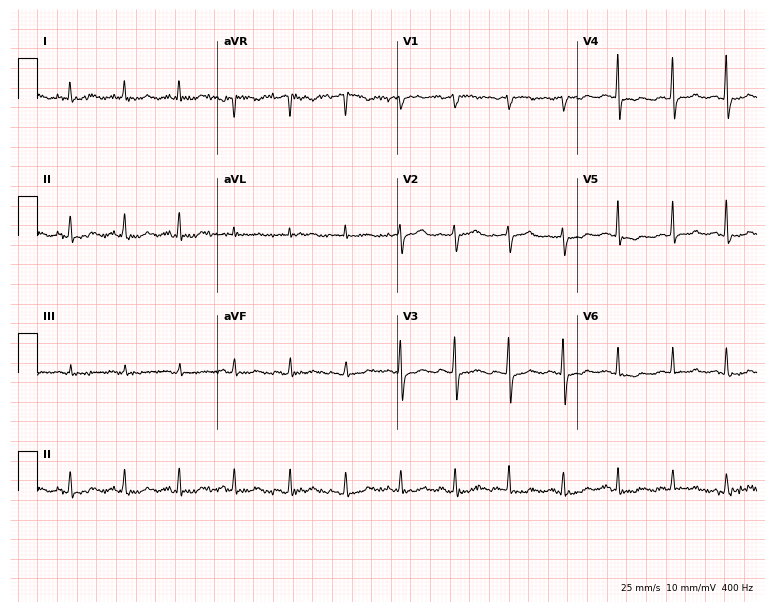
Resting 12-lead electrocardiogram (7.3-second recording at 400 Hz). Patient: a female, 55 years old. The tracing shows sinus tachycardia (a sinus rate of 100 beats per minute or more).